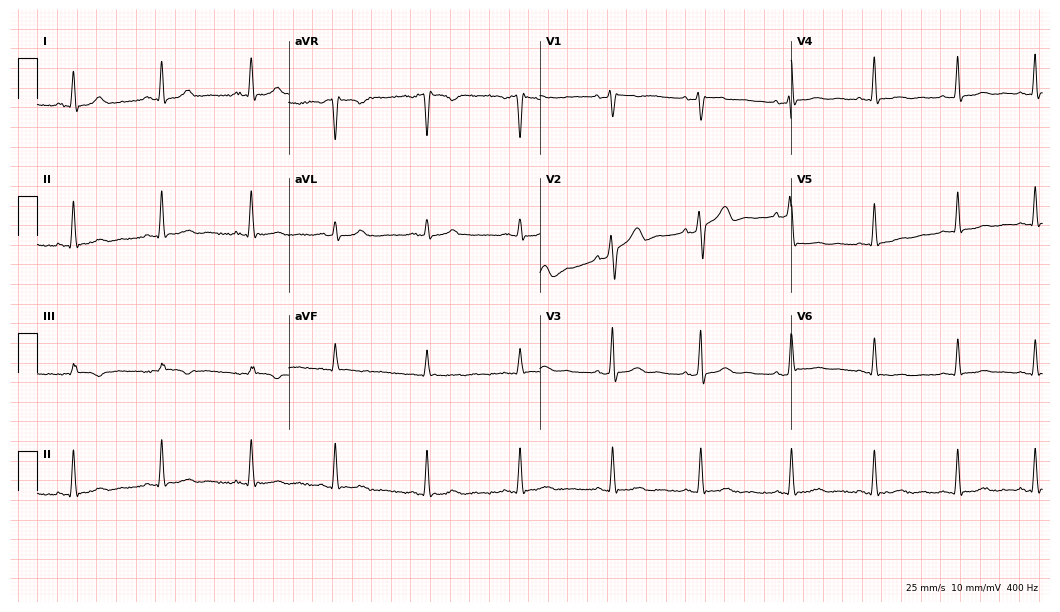
Resting 12-lead electrocardiogram (10.2-second recording at 400 Hz). Patient: a woman, 44 years old. None of these six findings is recorded: first-degree AV block, right bundle branch block, left bundle branch block, sinus bradycardia, atrial fibrillation, sinus tachycardia. Other findings, if any, are not listed.